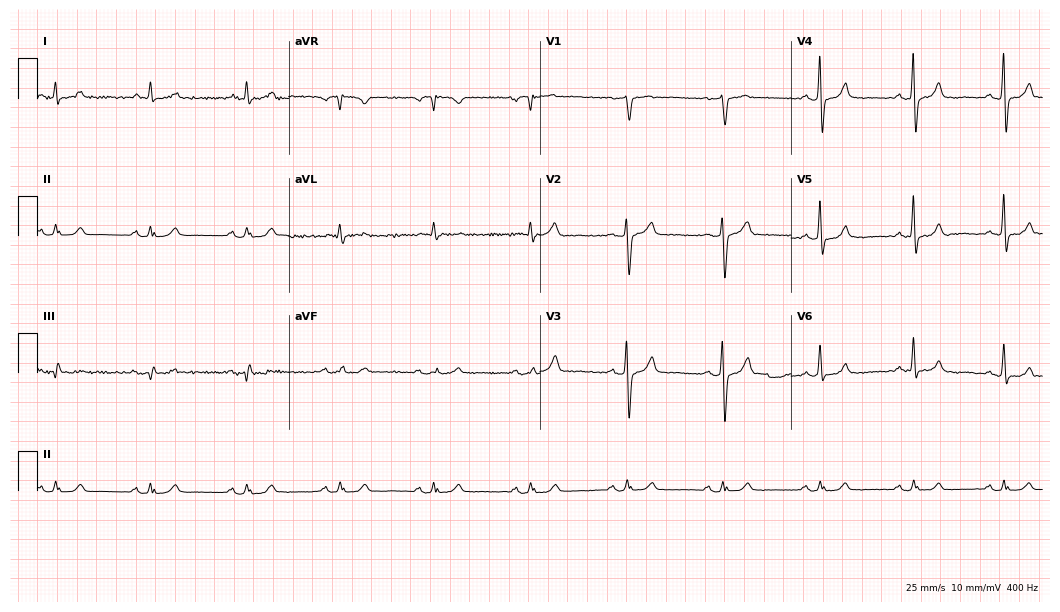
Standard 12-lead ECG recorded from a male patient, 66 years old. None of these six findings is recorded: first-degree AV block, right bundle branch block, left bundle branch block, sinus bradycardia, atrial fibrillation, sinus tachycardia.